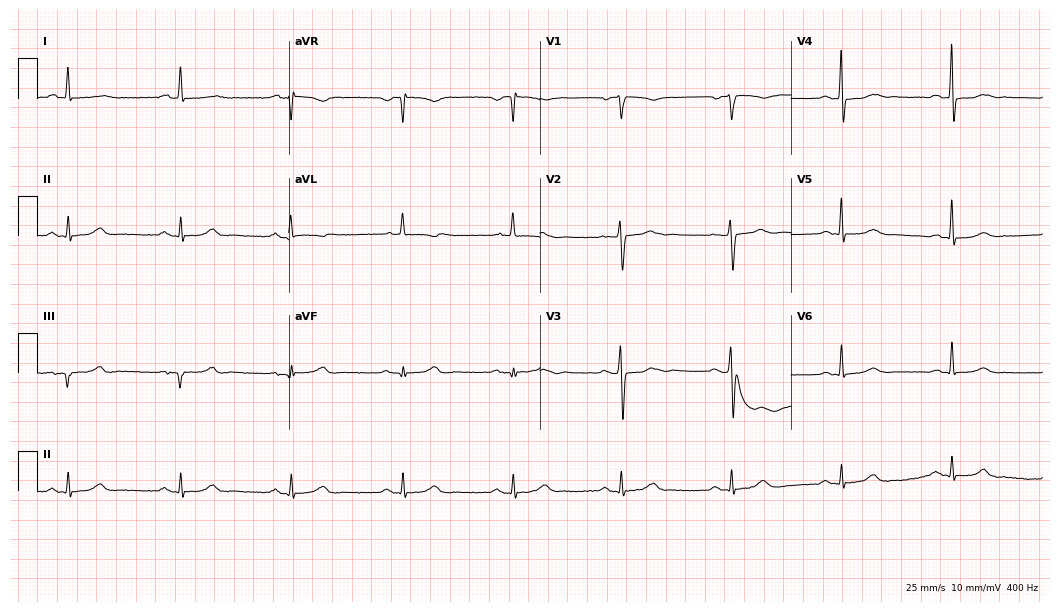
Electrocardiogram (10.2-second recording at 400 Hz), a man, 75 years old. Overall reading on record: normal ECG.